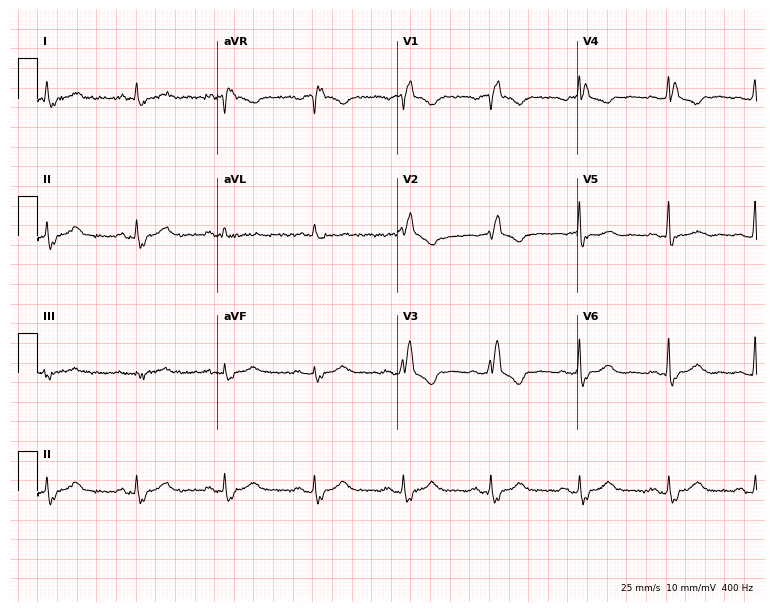
Standard 12-lead ECG recorded from a female patient, 75 years old (7.3-second recording at 400 Hz). The tracing shows right bundle branch block.